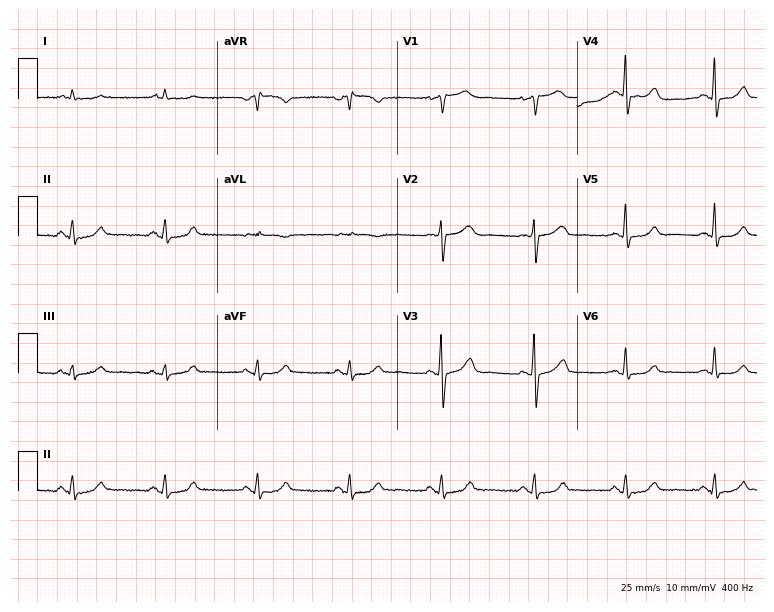
Standard 12-lead ECG recorded from a 55-year-old woman (7.3-second recording at 400 Hz). Read as a normal ECG.